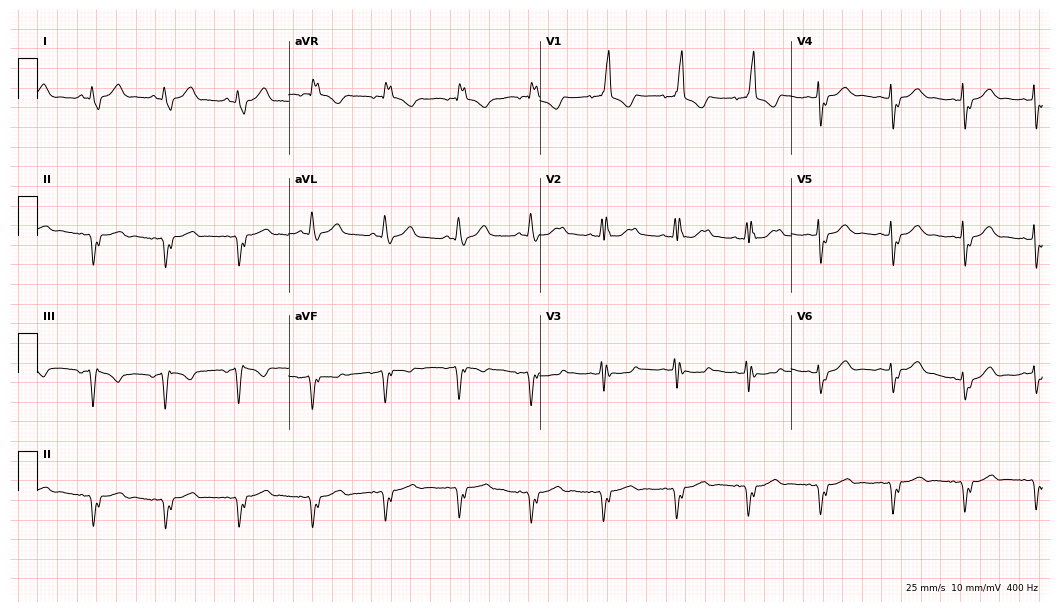
12-lead ECG from a woman, 81 years old. Findings include right bundle branch block.